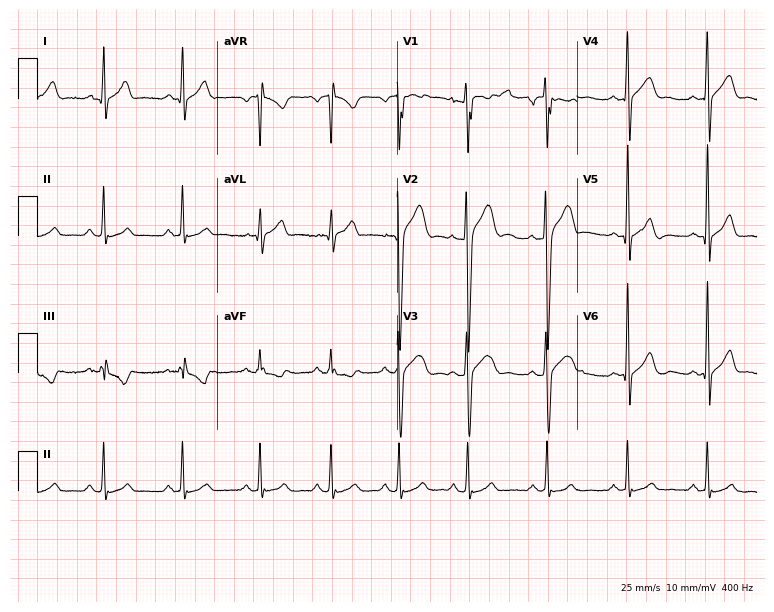
ECG — a 31-year-old male. Labelled as a normal ECG.